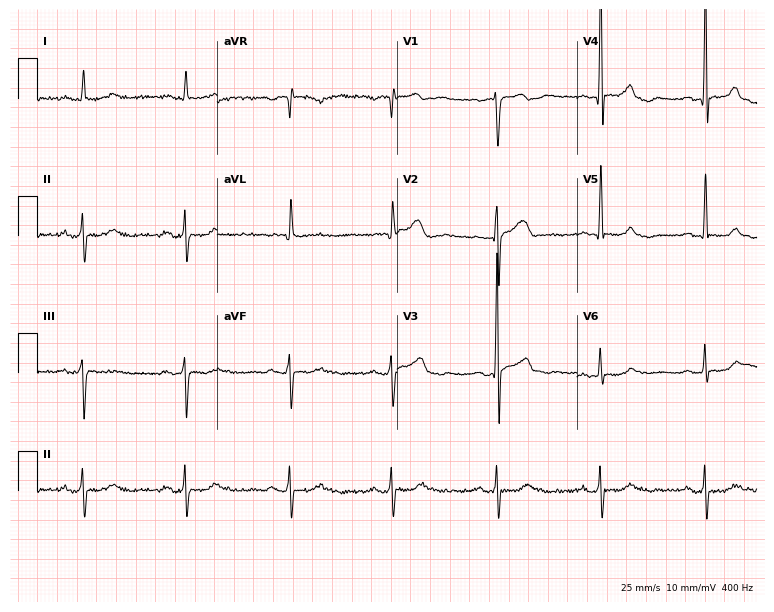
12-lead ECG from a male, 79 years old (7.3-second recording at 400 Hz). No first-degree AV block, right bundle branch block, left bundle branch block, sinus bradycardia, atrial fibrillation or sinus tachycardia recorded for this tracing. Other findings, if any, are not listed.